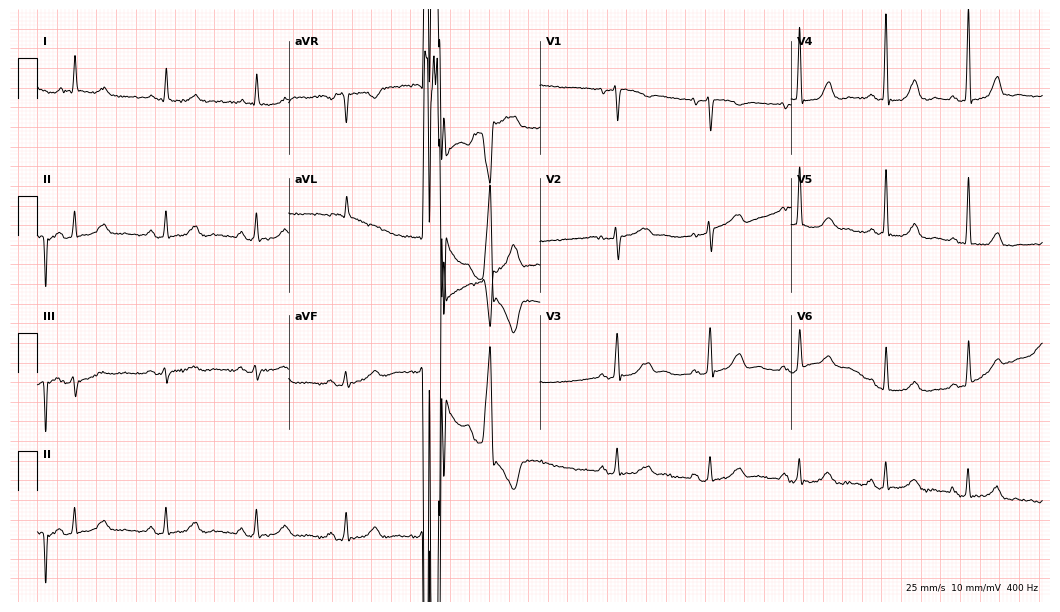
12-lead ECG from a female, 71 years old. Labelled as a normal ECG.